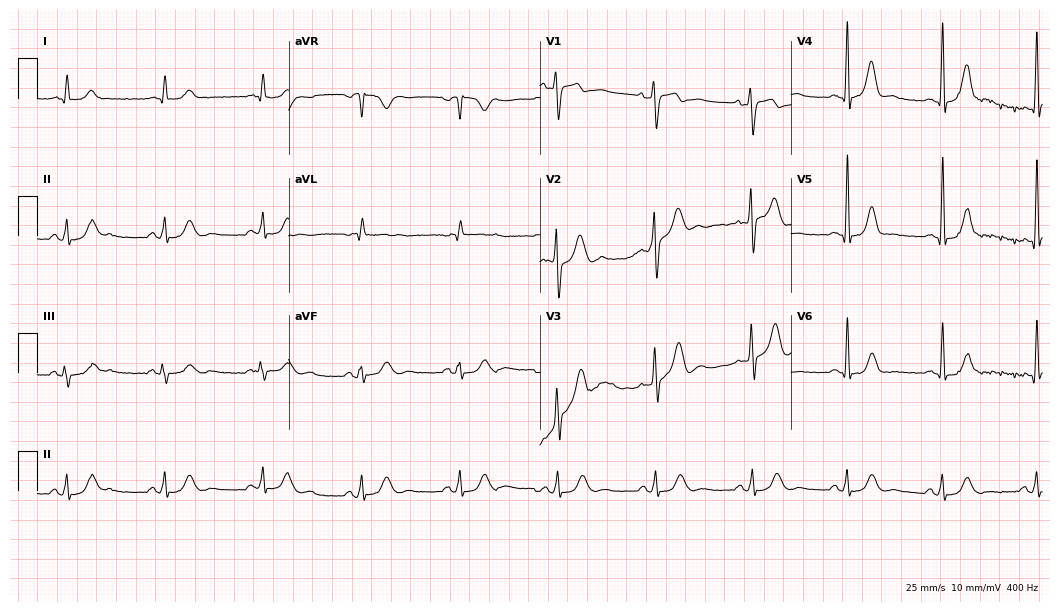
Standard 12-lead ECG recorded from a male, 65 years old (10.2-second recording at 400 Hz). None of these six findings is recorded: first-degree AV block, right bundle branch block, left bundle branch block, sinus bradycardia, atrial fibrillation, sinus tachycardia. Findings outside these six are not listed.